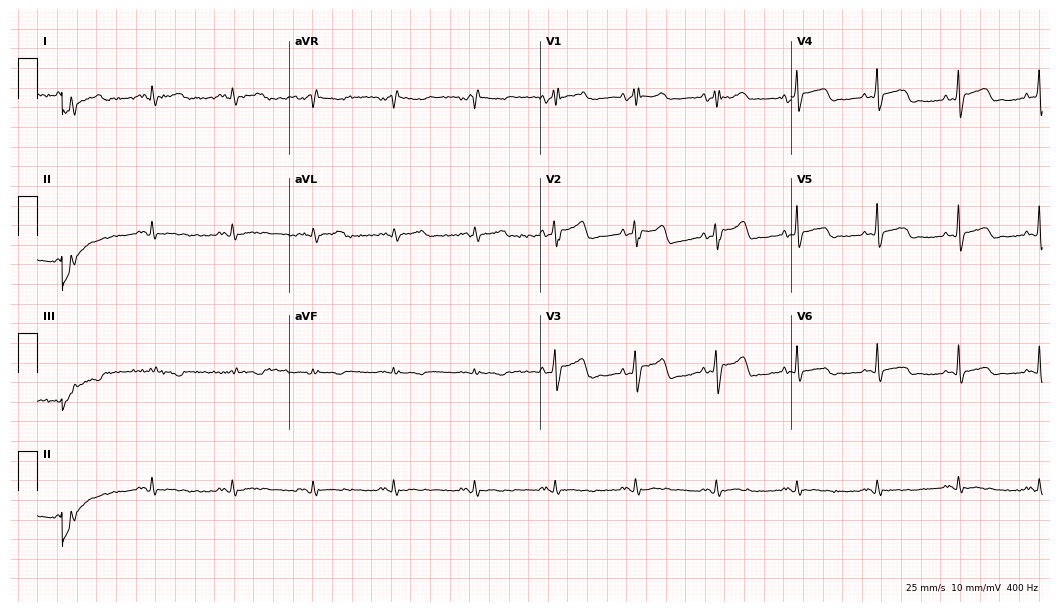
Standard 12-lead ECG recorded from a 64-year-old male patient (10.2-second recording at 400 Hz). None of these six findings is recorded: first-degree AV block, right bundle branch block, left bundle branch block, sinus bradycardia, atrial fibrillation, sinus tachycardia.